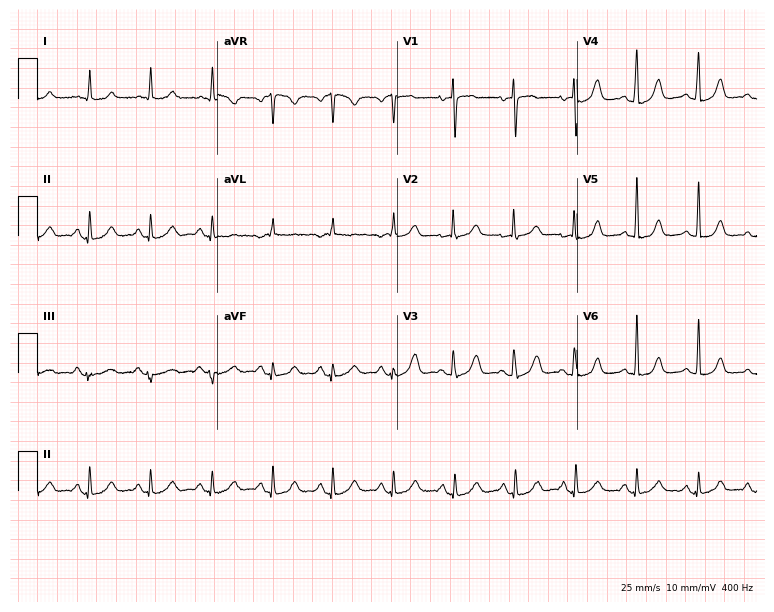
12-lead ECG (7.3-second recording at 400 Hz) from an 82-year-old female patient. Screened for six findings — first-degree AV block, right bundle branch block (RBBB), left bundle branch block (LBBB), sinus bradycardia, atrial fibrillation (AF), sinus tachycardia — none is recorded.